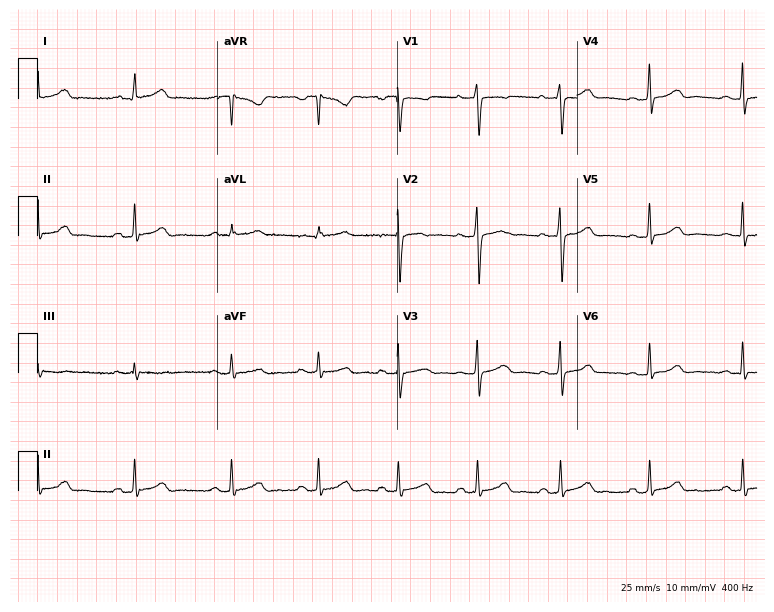
Electrocardiogram, a 36-year-old female patient. Overall reading on record: normal ECG.